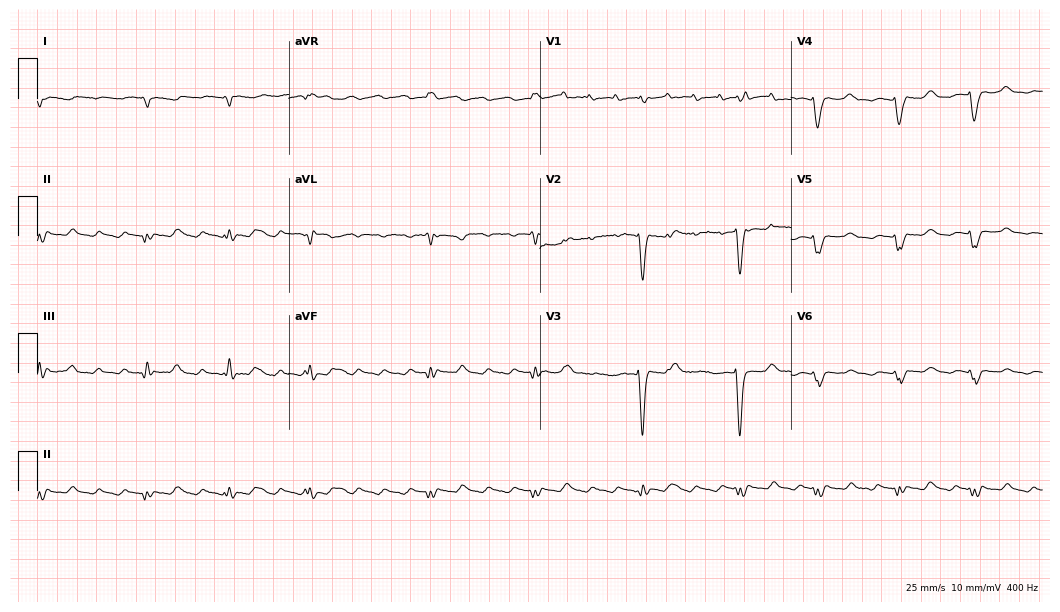
ECG — a 54-year-old male. Screened for six findings — first-degree AV block, right bundle branch block, left bundle branch block, sinus bradycardia, atrial fibrillation, sinus tachycardia — none is recorded.